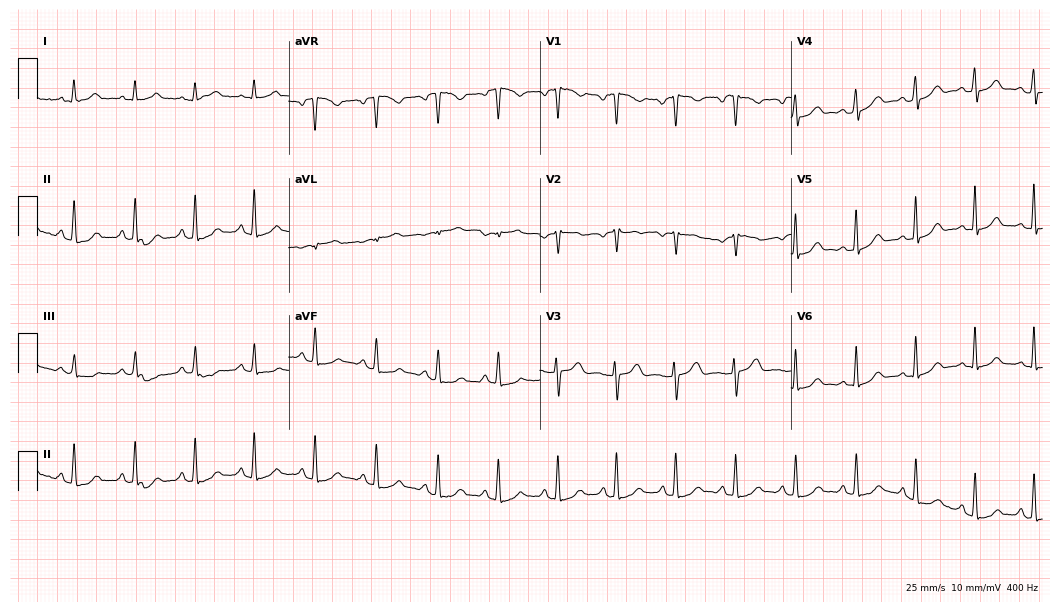
12-lead ECG (10.2-second recording at 400 Hz) from a 45-year-old female patient. Labelled as a normal ECG.